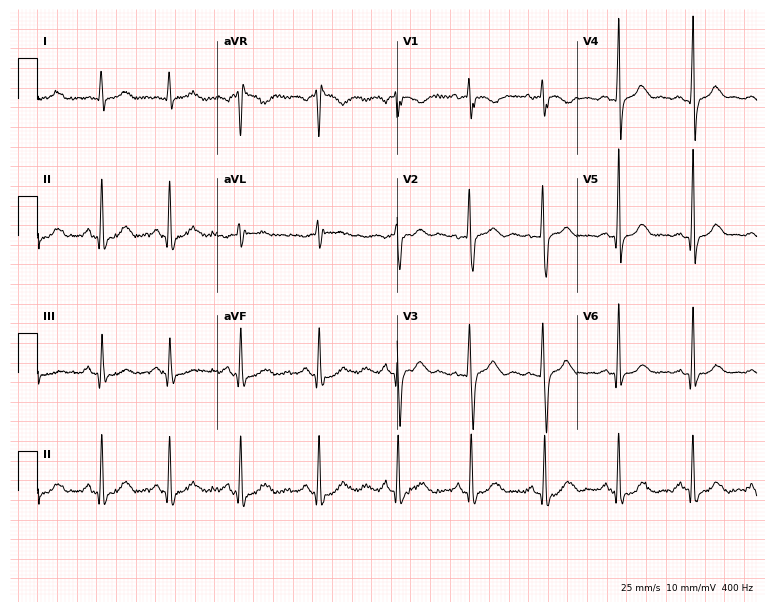
12-lead ECG (7.3-second recording at 400 Hz) from a 17-year-old female patient. Screened for six findings — first-degree AV block, right bundle branch block, left bundle branch block, sinus bradycardia, atrial fibrillation, sinus tachycardia — none is recorded. Other findings, if any, are not listed.